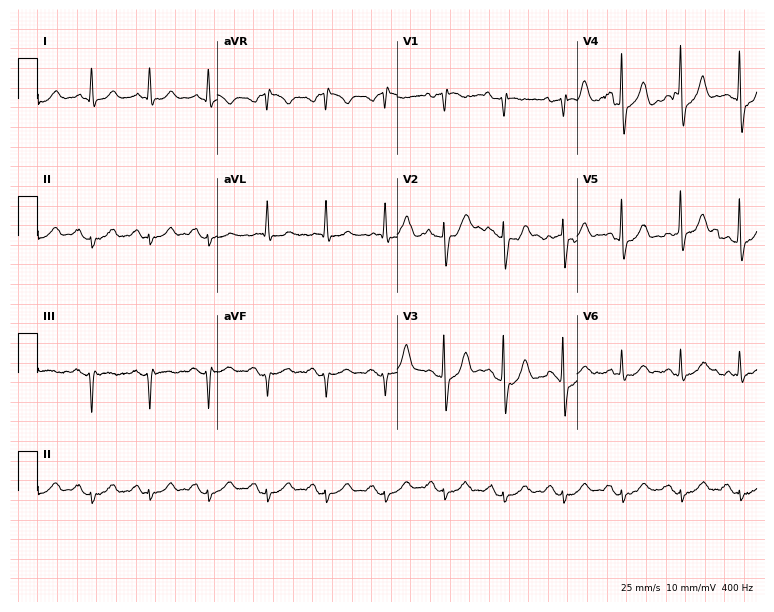
12-lead ECG (7.3-second recording at 400 Hz) from an 84-year-old man. Screened for six findings — first-degree AV block, right bundle branch block, left bundle branch block, sinus bradycardia, atrial fibrillation, sinus tachycardia — none is recorded.